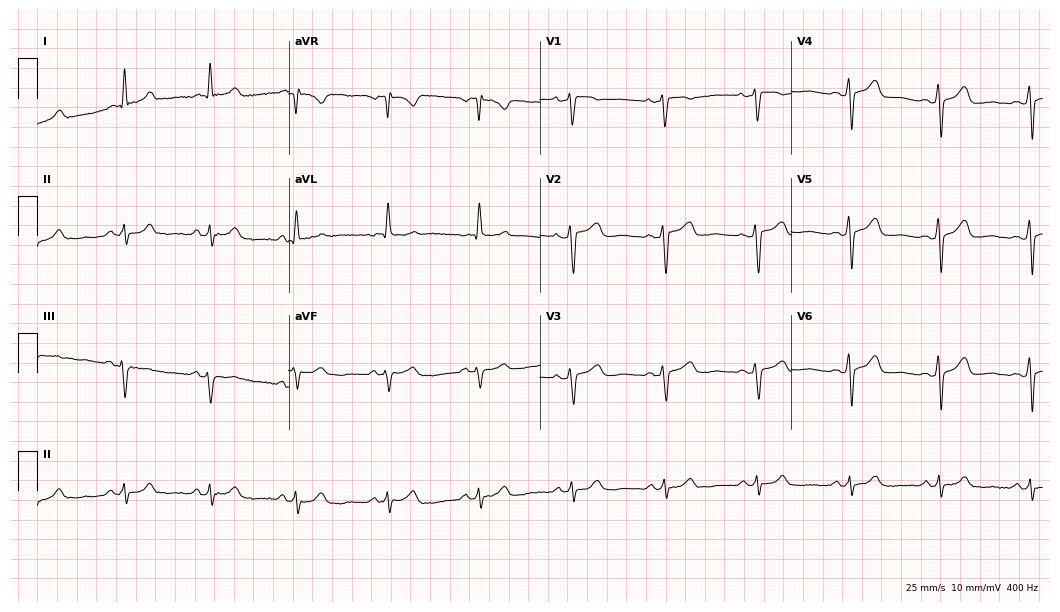
Electrocardiogram, a woman, 73 years old. Of the six screened findings (first-degree AV block, right bundle branch block, left bundle branch block, sinus bradycardia, atrial fibrillation, sinus tachycardia), none is recorded. Other findings, if any, are not listed.